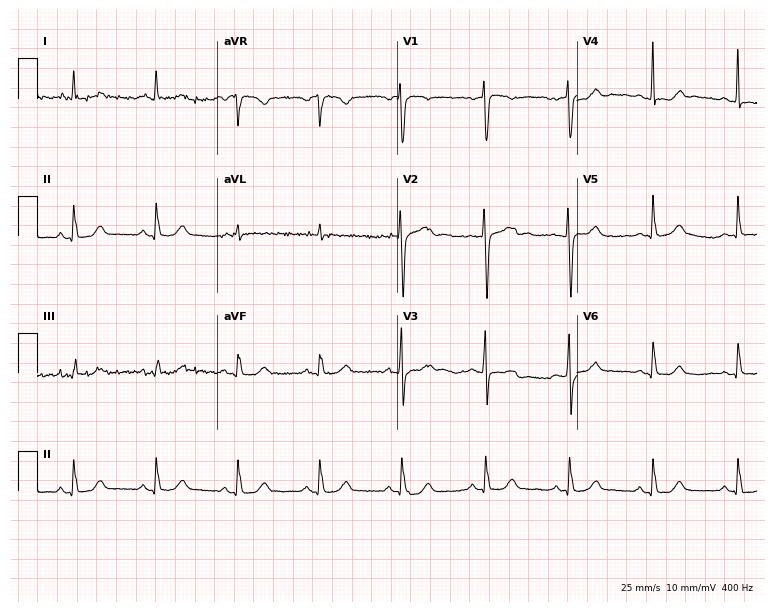
Resting 12-lead electrocardiogram (7.3-second recording at 400 Hz). Patient: a 51-year-old male. Read as a normal ECG.